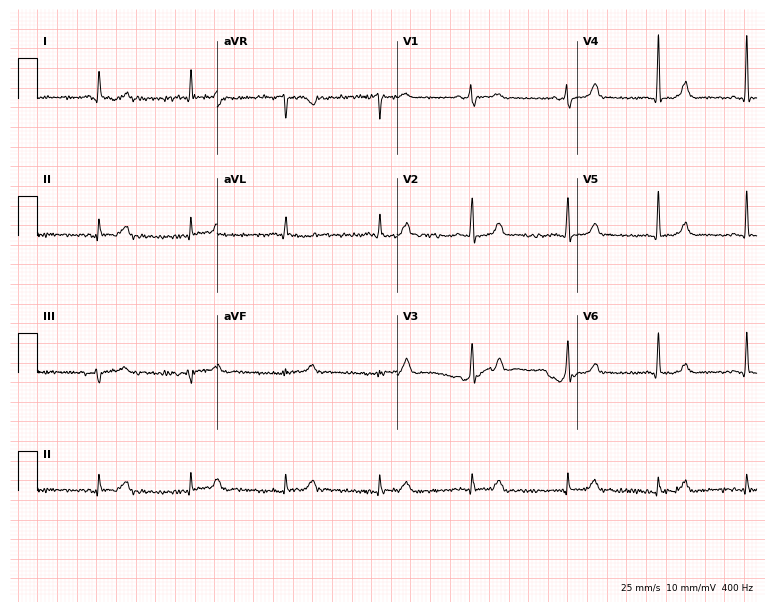
12-lead ECG from a female patient, 83 years old. Screened for six findings — first-degree AV block, right bundle branch block, left bundle branch block, sinus bradycardia, atrial fibrillation, sinus tachycardia — none is recorded. Only these six findings were labelled.